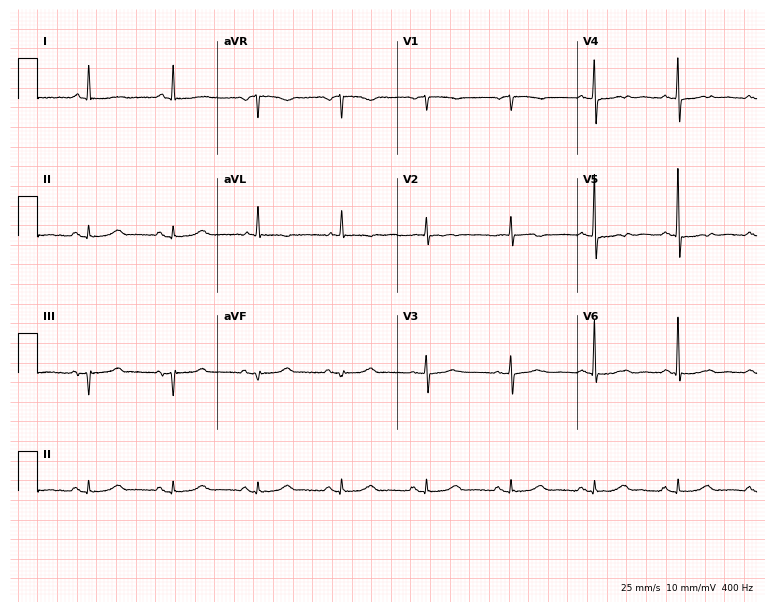
Resting 12-lead electrocardiogram. Patient: a female, 75 years old. None of these six findings is recorded: first-degree AV block, right bundle branch block, left bundle branch block, sinus bradycardia, atrial fibrillation, sinus tachycardia. Findings outside these six are not listed.